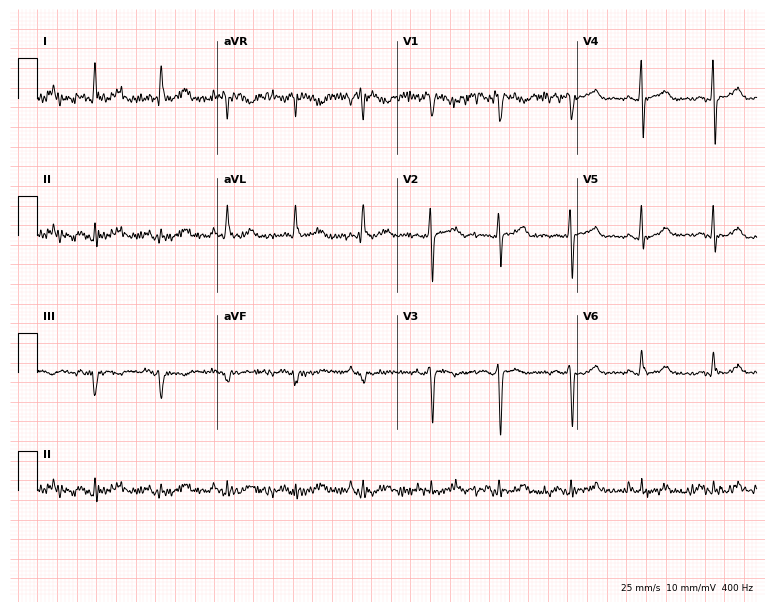
Resting 12-lead electrocardiogram. Patient: a man, 64 years old. None of these six findings is recorded: first-degree AV block, right bundle branch block, left bundle branch block, sinus bradycardia, atrial fibrillation, sinus tachycardia.